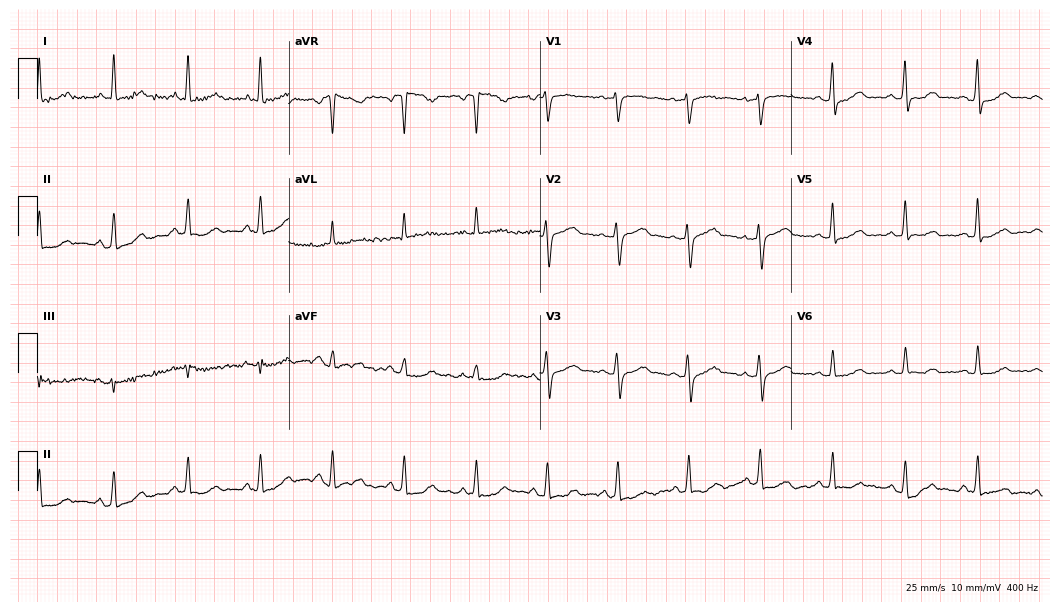
Electrocardiogram, a 55-year-old female. Overall reading on record: normal ECG.